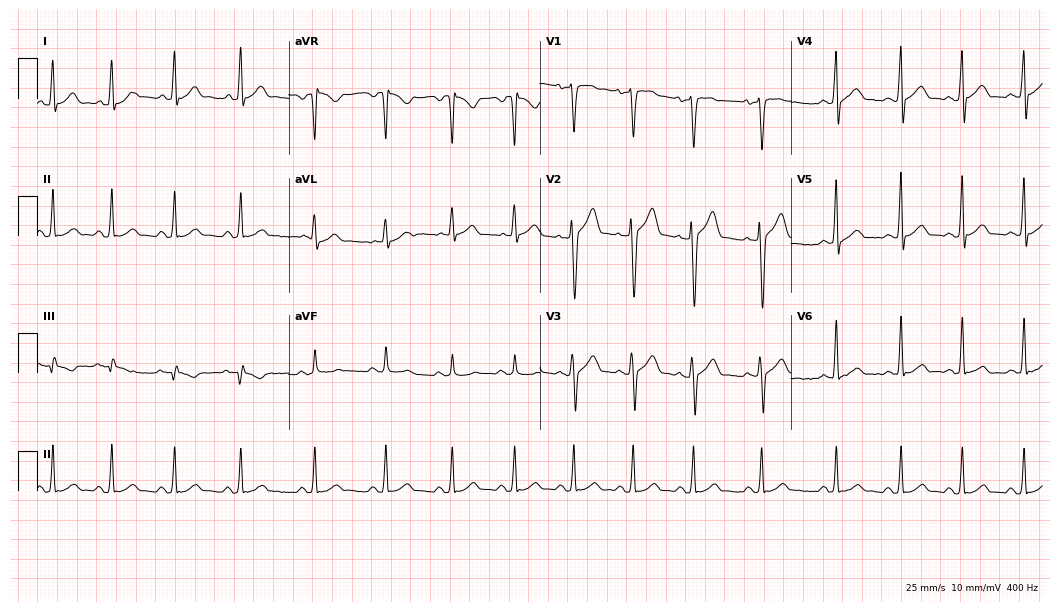
12-lead ECG from a man, 27 years old (10.2-second recording at 400 Hz). Recorded interpretation: within normal limits.